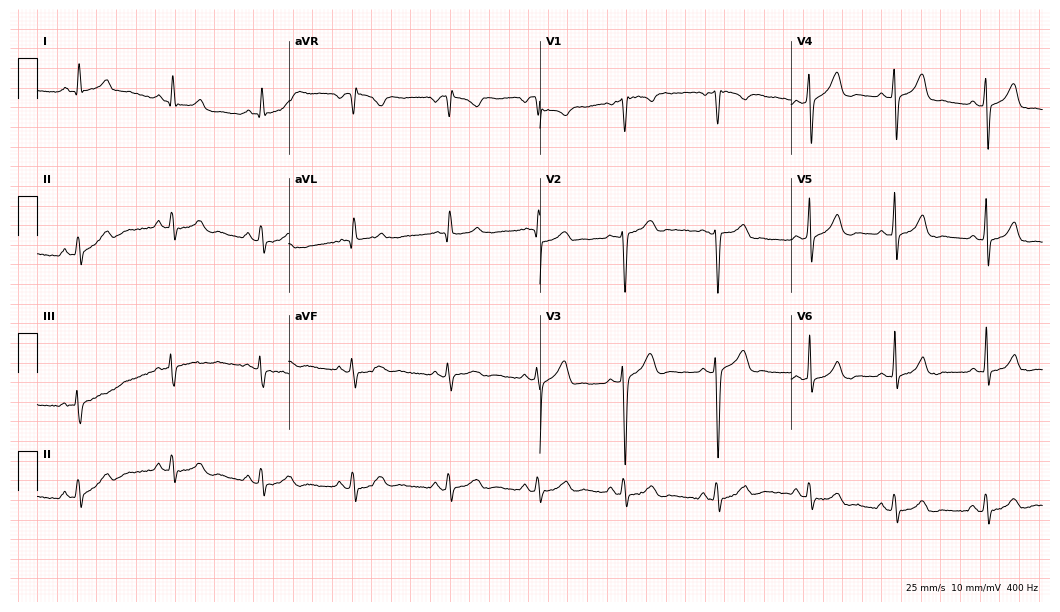
Electrocardiogram (10.2-second recording at 400 Hz), a 30-year-old female patient. Overall reading on record: normal ECG.